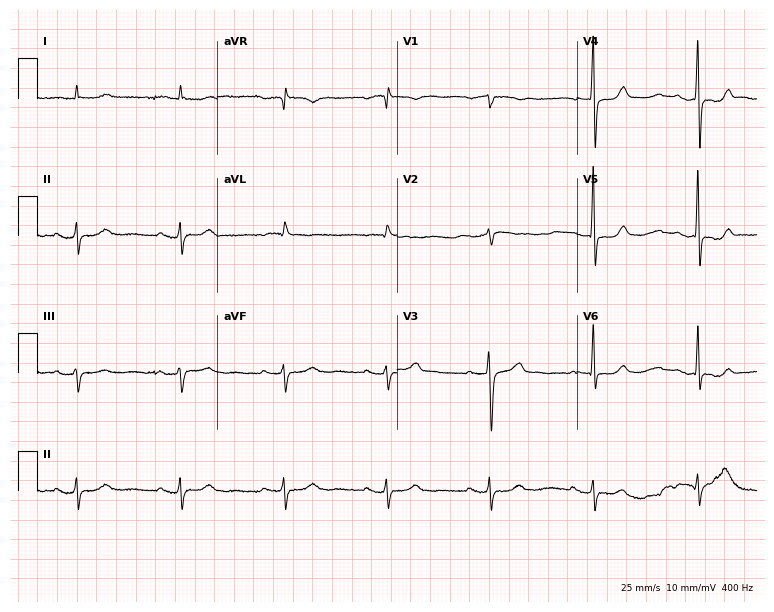
Electrocardiogram, an 84-year-old man. Interpretation includes first-degree AV block.